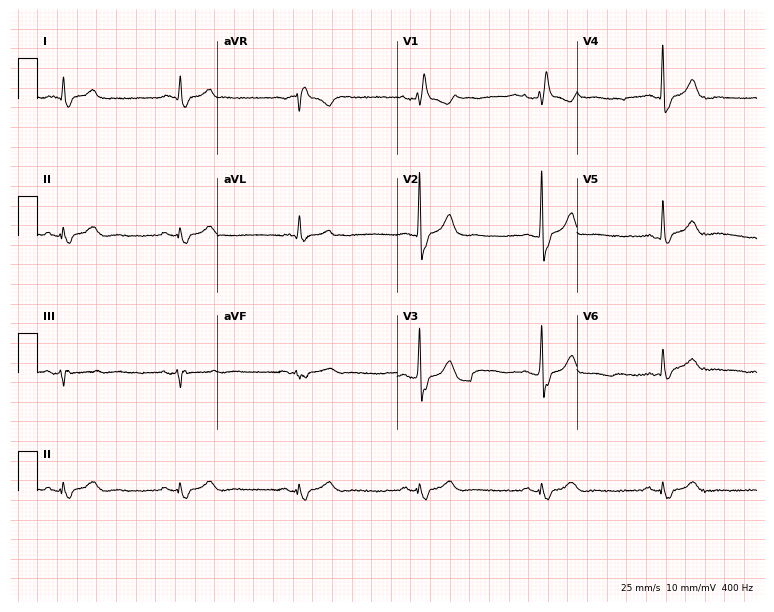
ECG (7.3-second recording at 400 Hz) — a 76-year-old man. Findings include right bundle branch block (RBBB).